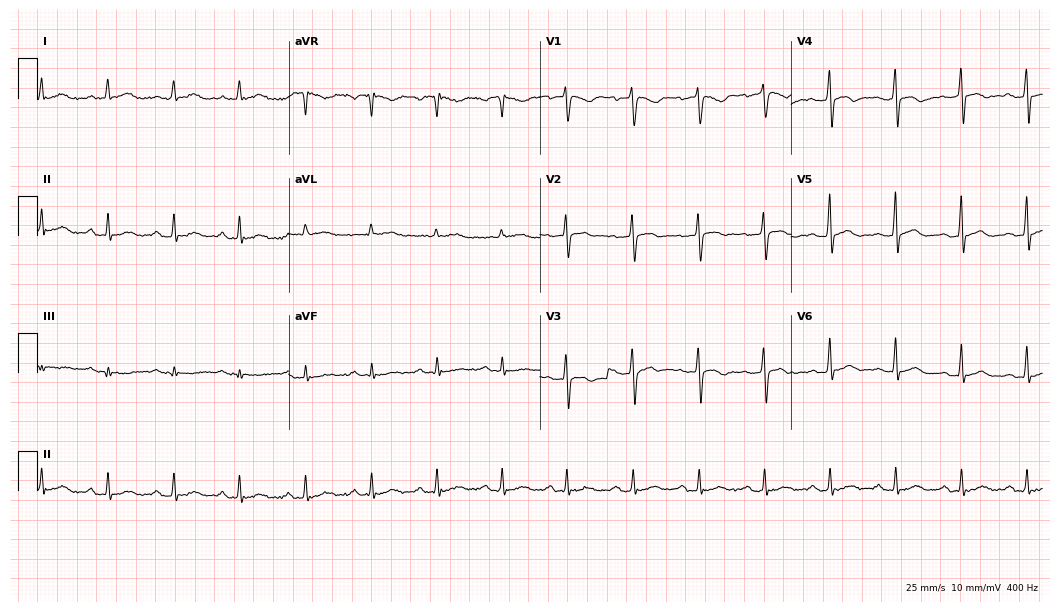
12-lead ECG (10.2-second recording at 400 Hz) from a male, 50 years old. Screened for six findings — first-degree AV block, right bundle branch block, left bundle branch block, sinus bradycardia, atrial fibrillation, sinus tachycardia — none is recorded.